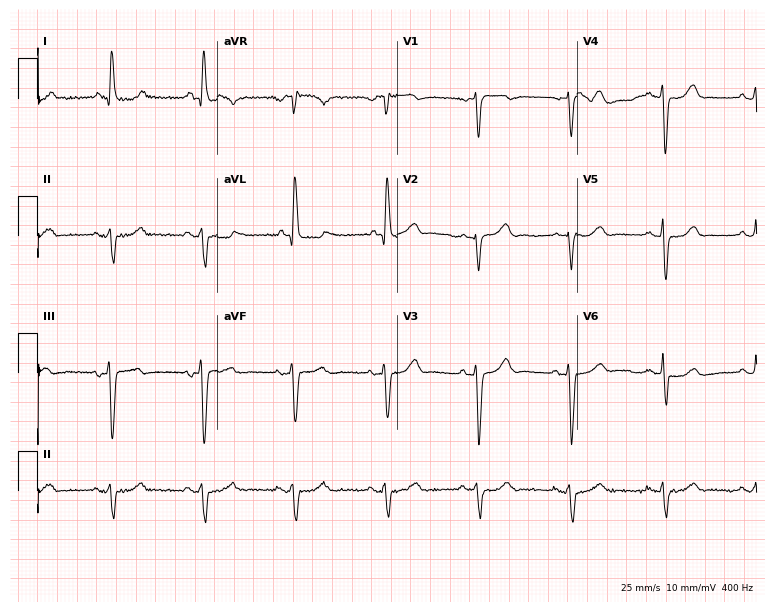
Electrocardiogram (7.3-second recording at 400 Hz), an 83-year-old woman. Of the six screened findings (first-degree AV block, right bundle branch block (RBBB), left bundle branch block (LBBB), sinus bradycardia, atrial fibrillation (AF), sinus tachycardia), none is recorded. Findings outside these six are not listed.